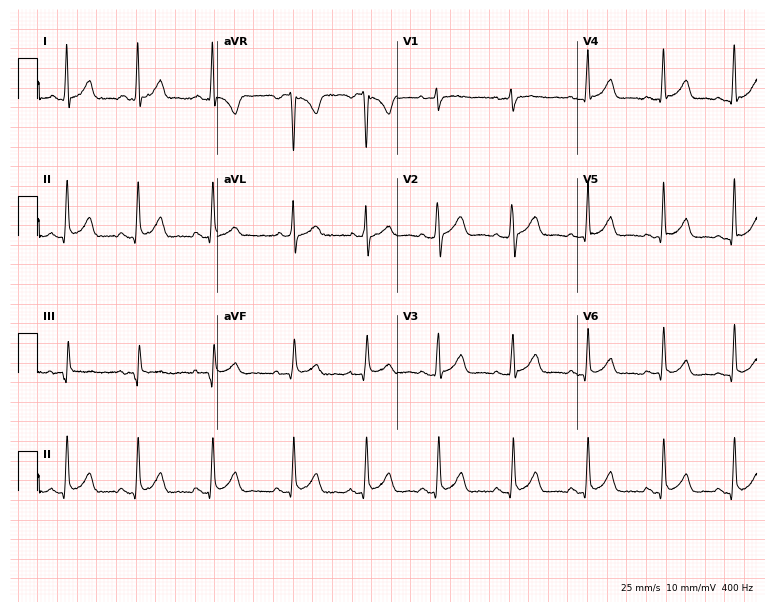
Standard 12-lead ECG recorded from a 30-year-old female (7.3-second recording at 400 Hz). Read as a normal ECG.